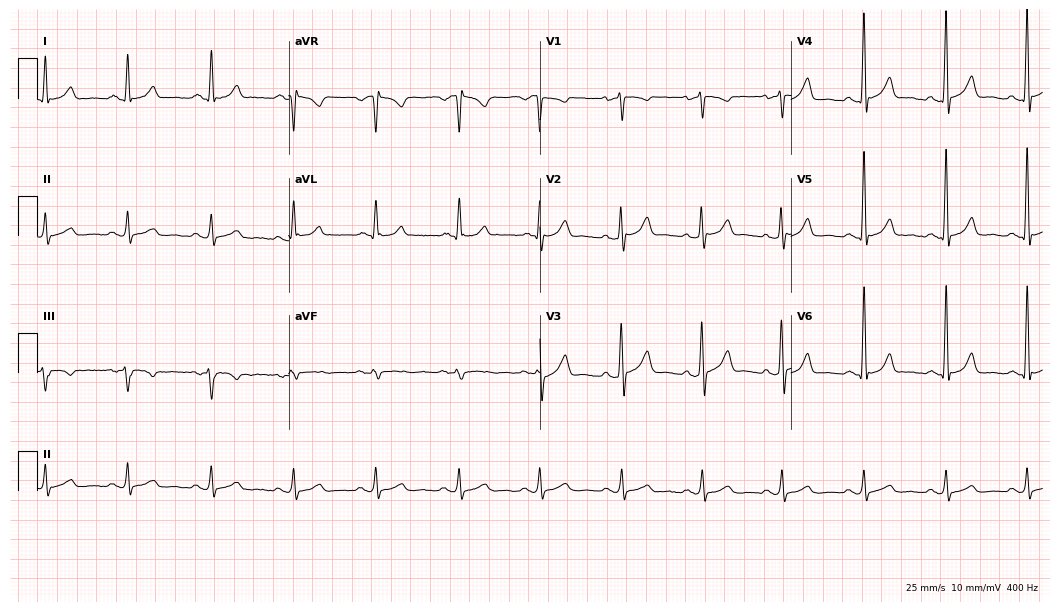
Resting 12-lead electrocardiogram. Patient: a man, 51 years old. None of these six findings is recorded: first-degree AV block, right bundle branch block (RBBB), left bundle branch block (LBBB), sinus bradycardia, atrial fibrillation (AF), sinus tachycardia. Findings outside these six are not listed.